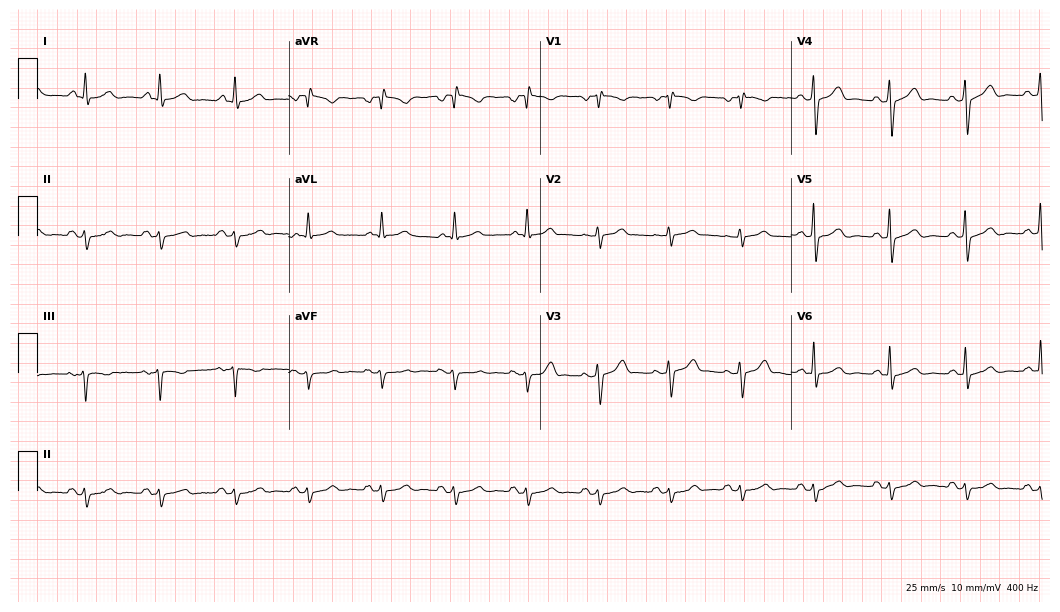
12-lead ECG from a 66-year-old man. No first-degree AV block, right bundle branch block (RBBB), left bundle branch block (LBBB), sinus bradycardia, atrial fibrillation (AF) or sinus tachycardia recorded for this tracing.